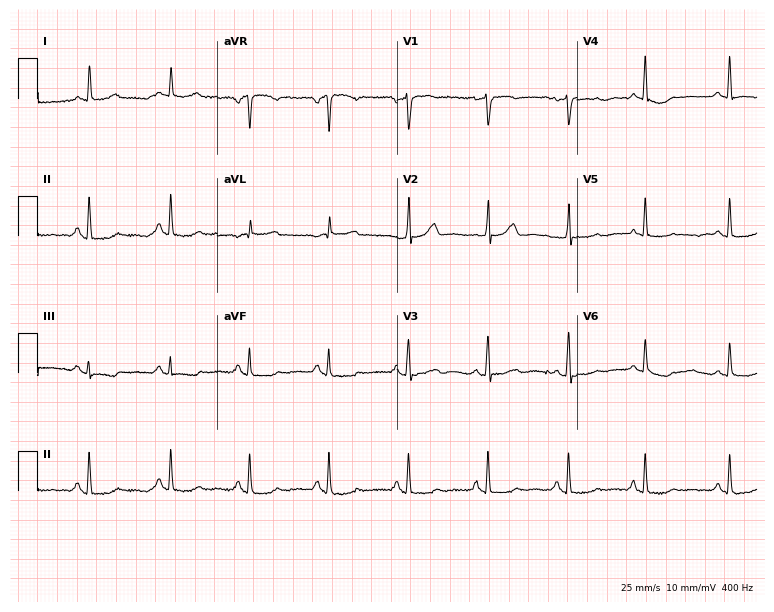
12-lead ECG from a 78-year-old female patient. Labelled as a normal ECG.